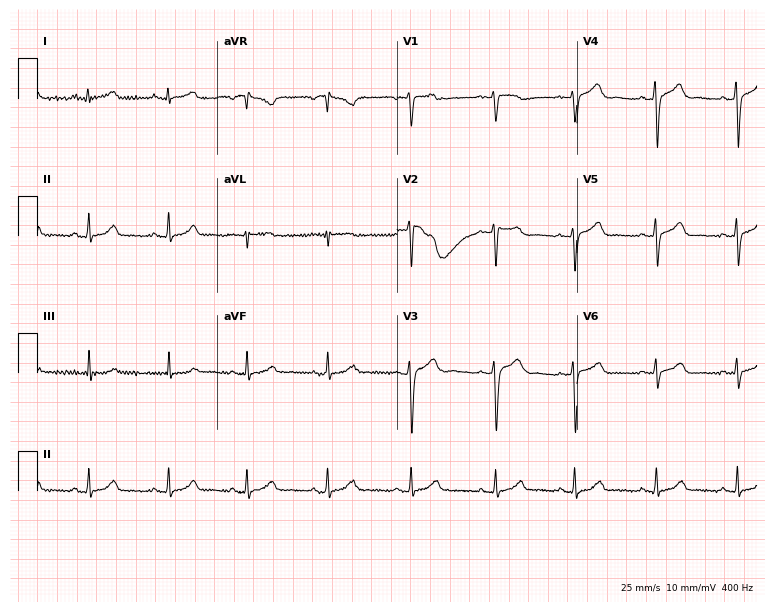
Standard 12-lead ECG recorded from a female patient, 30 years old. None of these six findings is recorded: first-degree AV block, right bundle branch block, left bundle branch block, sinus bradycardia, atrial fibrillation, sinus tachycardia.